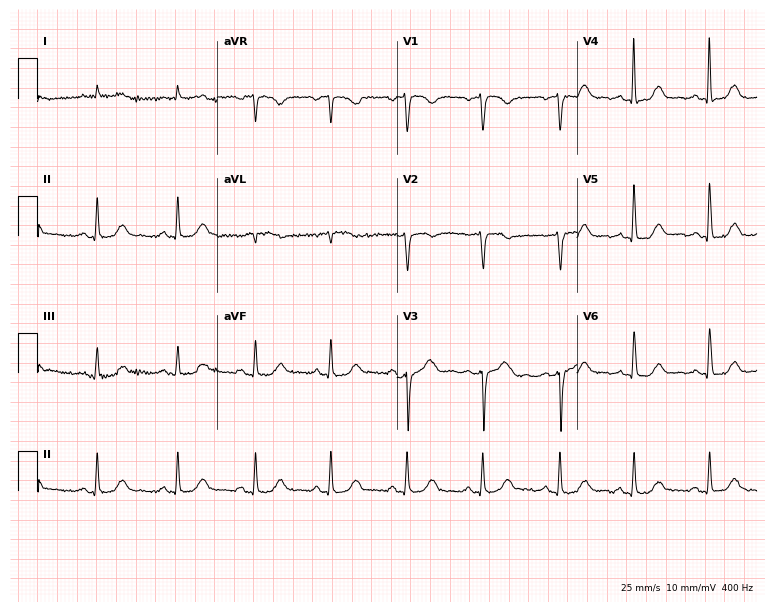
12-lead ECG (7.3-second recording at 400 Hz) from a woman, 73 years old. Screened for six findings — first-degree AV block, right bundle branch block, left bundle branch block, sinus bradycardia, atrial fibrillation, sinus tachycardia — none is recorded. Only these six findings were labelled.